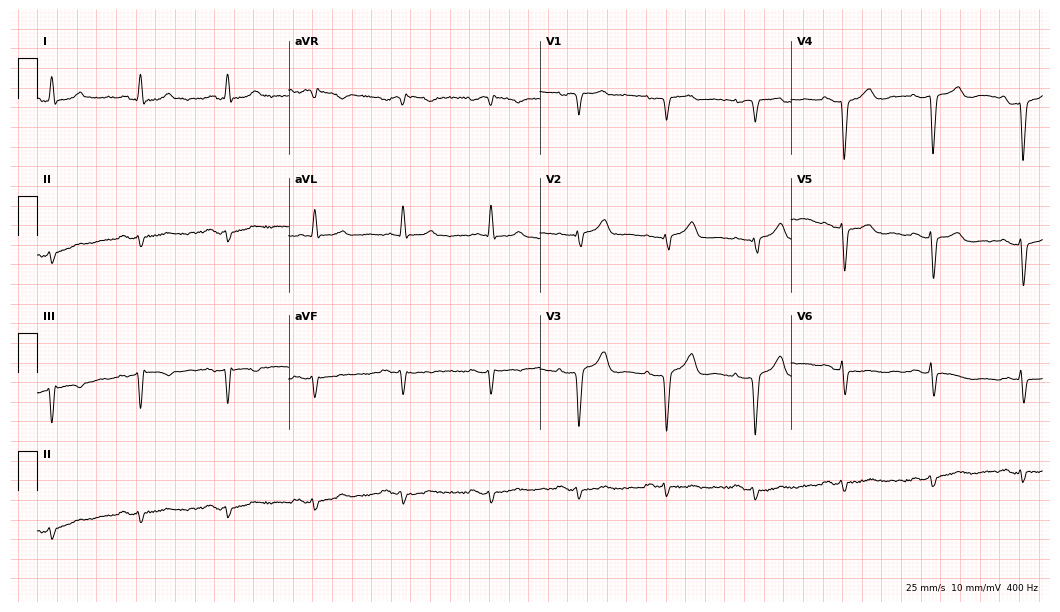
Resting 12-lead electrocardiogram. Patient: a male, 76 years old. None of these six findings is recorded: first-degree AV block, right bundle branch block, left bundle branch block, sinus bradycardia, atrial fibrillation, sinus tachycardia.